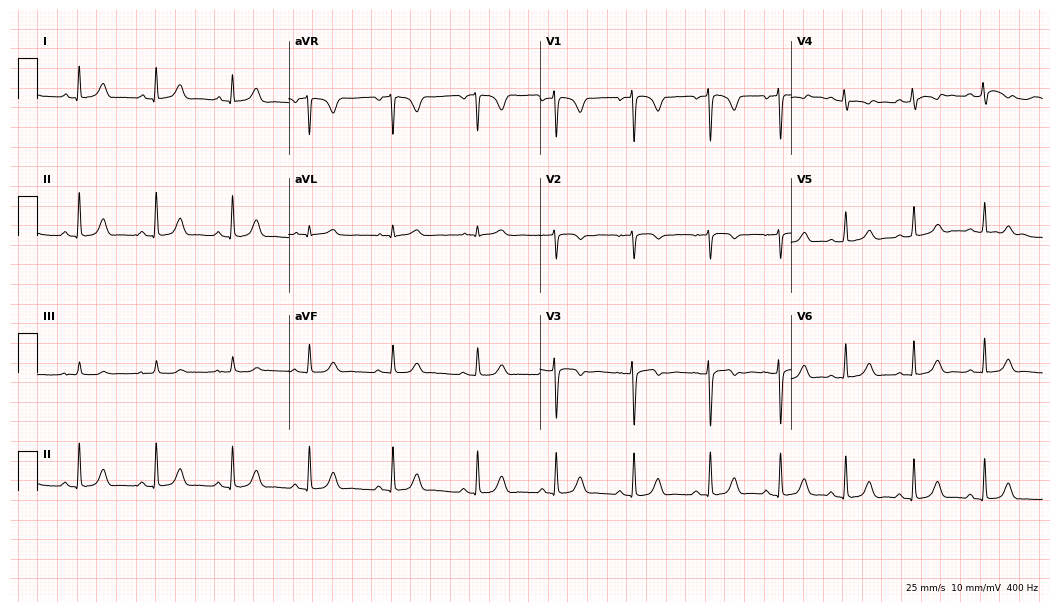
12-lead ECG from a woman, 26 years old. No first-degree AV block, right bundle branch block (RBBB), left bundle branch block (LBBB), sinus bradycardia, atrial fibrillation (AF) or sinus tachycardia recorded for this tracing.